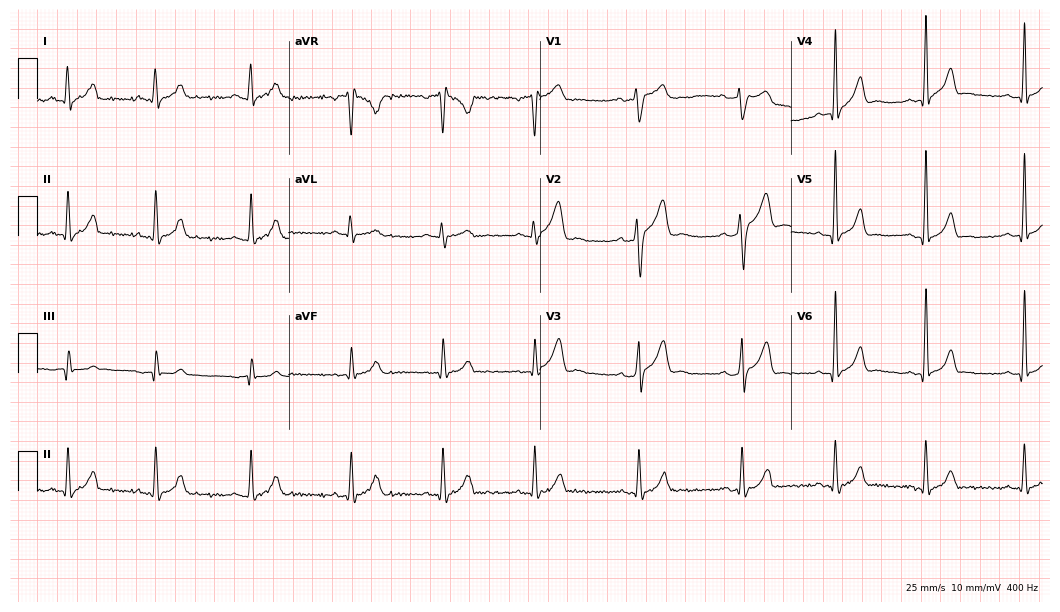
12-lead ECG from a male patient, 25 years old. Screened for six findings — first-degree AV block, right bundle branch block, left bundle branch block, sinus bradycardia, atrial fibrillation, sinus tachycardia — none is recorded. Other findings, if any, are not listed.